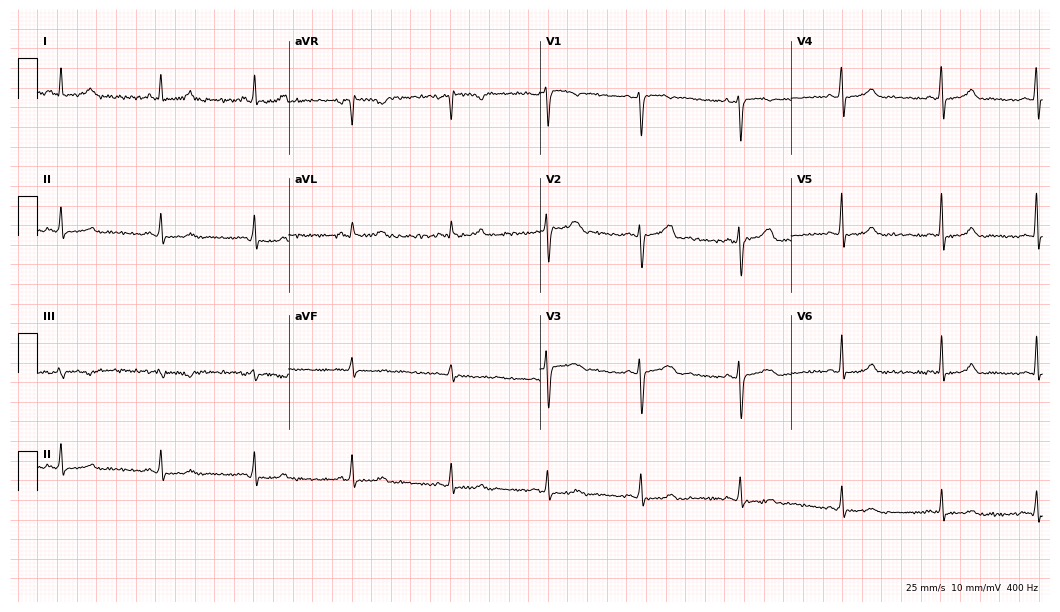
12-lead ECG from a woman, 36 years old. Labelled as a normal ECG.